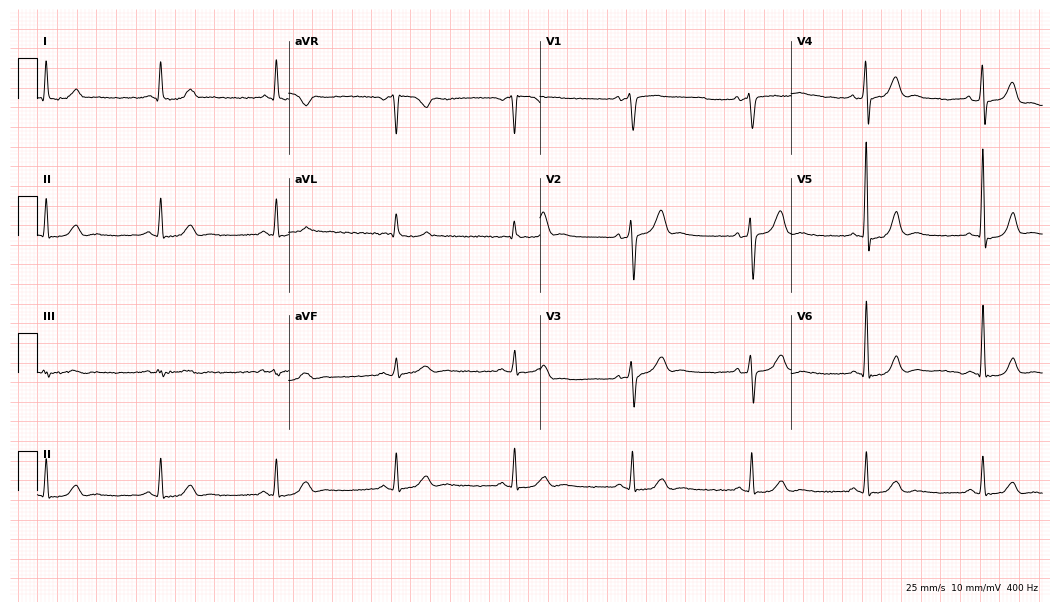
Electrocardiogram (10.2-second recording at 400 Hz), a male patient, 55 years old. Overall reading on record: normal ECG.